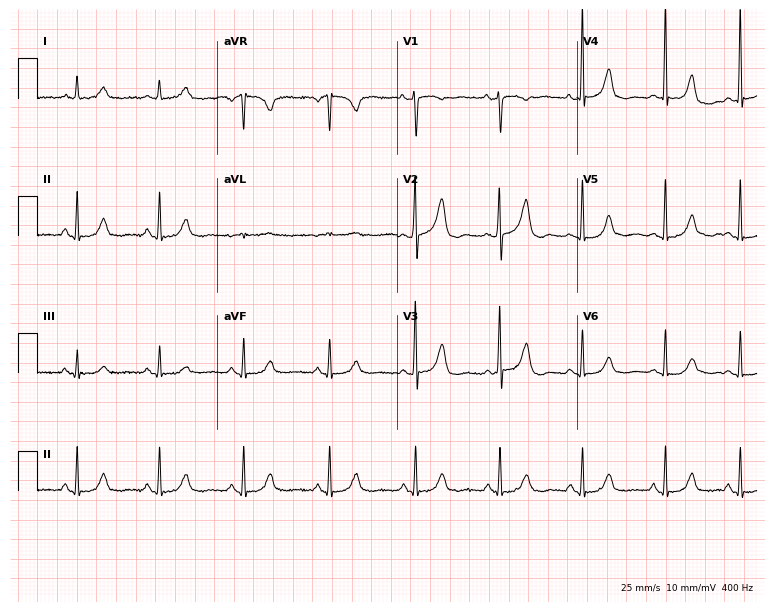
Electrocardiogram (7.3-second recording at 400 Hz), a woman, 75 years old. Overall reading on record: normal ECG.